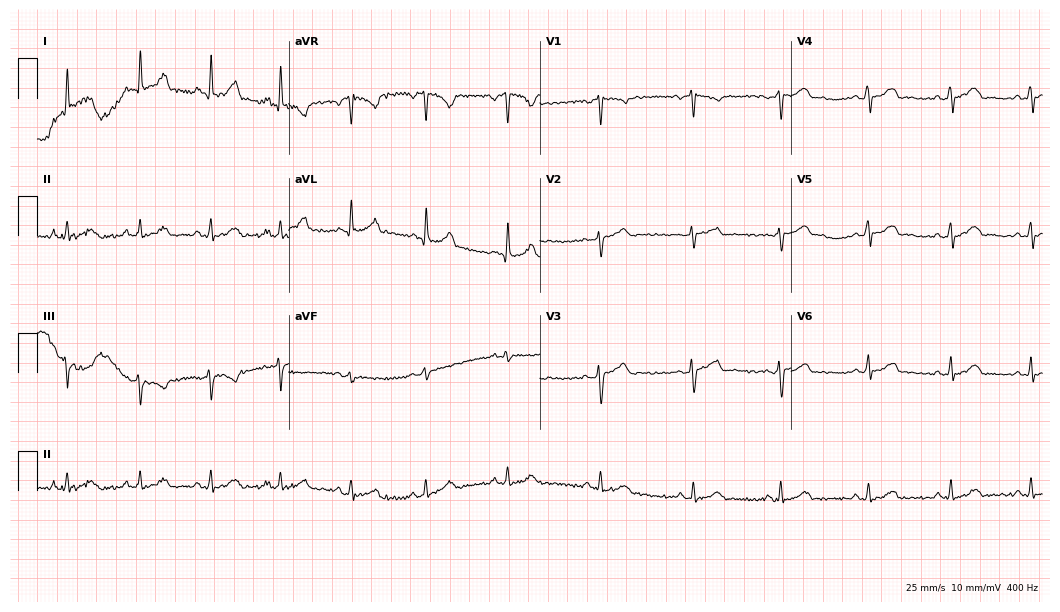
Resting 12-lead electrocardiogram. Patient: a female, 21 years old. None of these six findings is recorded: first-degree AV block, right bundle branch block (RBBB), left bundle branch block (LBBB), sinus bradycardia, atrial fibrillation (AF), sinus tachycardia.